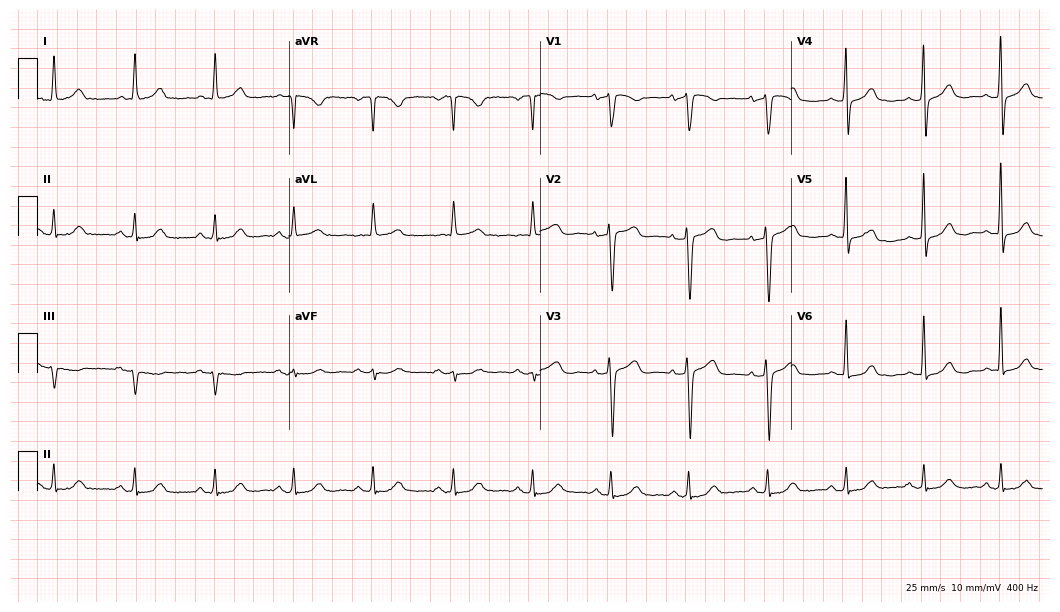
Standard 12-lead ECG recorded from a 77-year-old woman. None of these six findings is recorded: first-degree AV block, right bundle branch block, left bundle branch block, sinus bradycardia, atrial fibrillation, sinus tachycardia.